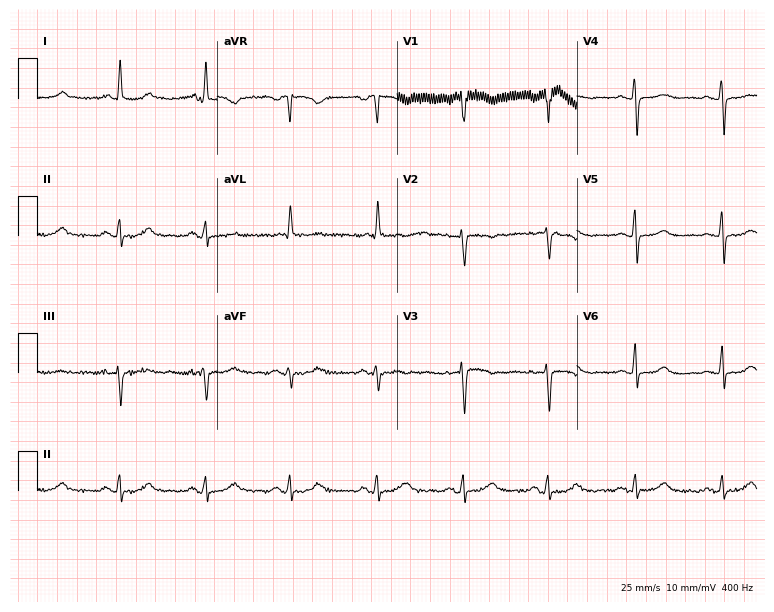
ECG (7.3-second recording at 400 Hz) — a woman, 70 years old. Labelled as a normal ECG.